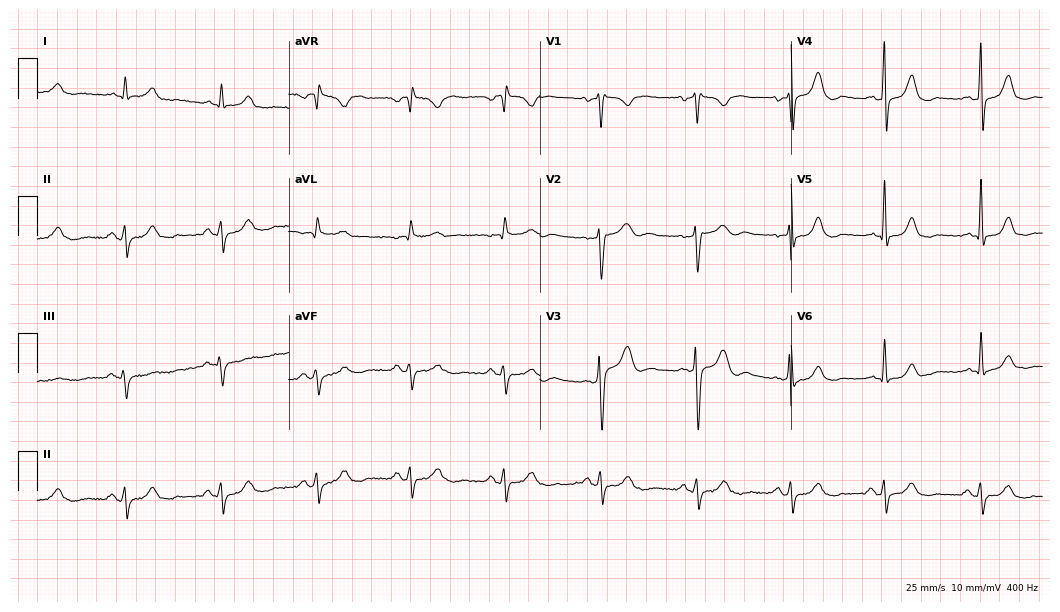
Resting 12-lead electrocardiogram (10.2-second recording at 400 Hz). Patient: a 50-year-old man. None of these six findings is recorded: first-degree AV block, right bundle branch block, left bundle branch block, sinus bradycardia, atrial fibrillation, sinus tachycardia.